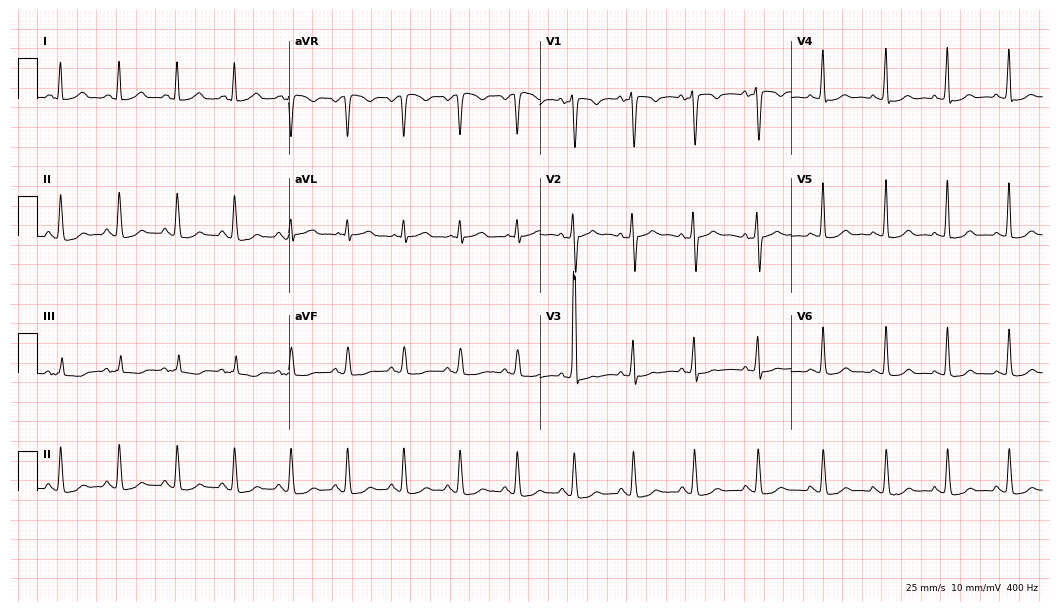
ECG — a 57-year-old woman. Screened for six findings — first-degree AV block, right bundle branch block (RBBB), left bundle branch block (LBBB), sinus bradycardia, atrial fibrillation (AF), sinus tachycardia — none is recorded. Other findings, if any, are not listed.